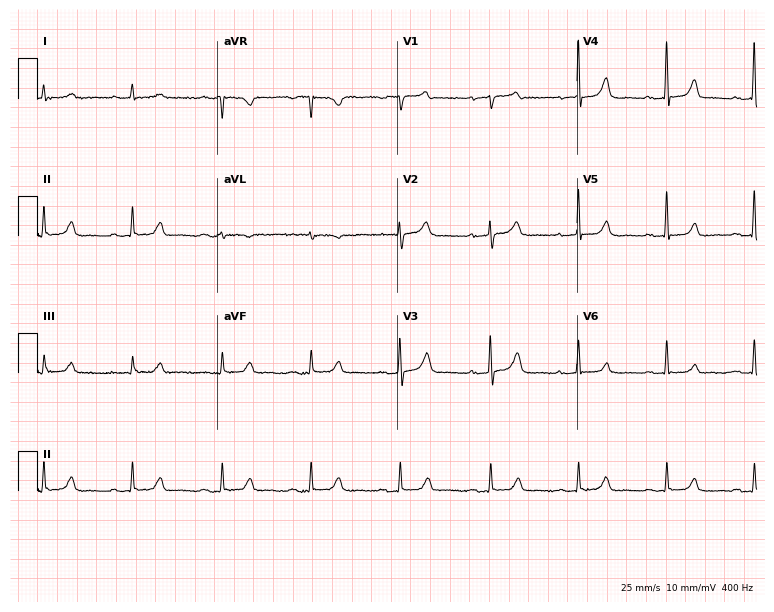
12-lead ECG (7.3-second recording at 400 Hz) from an 82-year-old female. Screened for six findings — first-degree AV block, right bundle branch block (RBBB), left bundle branch block (LBBB), sinus bradycardia, atrial fibrillation (AF), sinus tachycardia — none is recorded.